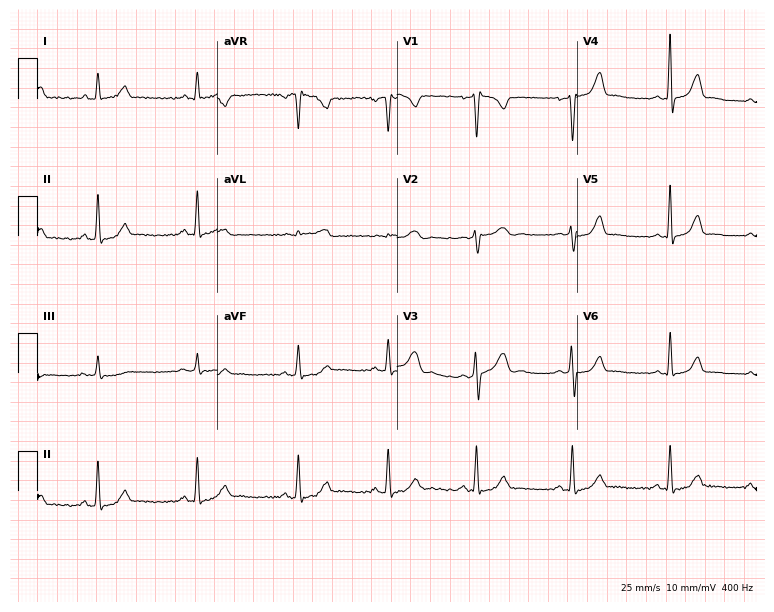
Resting 12-lead electrocardiogram (7.3-second recording at 400 Hz). Patient: a 26-year-old female. None of these six findings is recorded: first-degree AV block, right bundle branch block, left bundle branch block, sinus bradycardia, atrial fibrillation, sinus tachycardia. Other findings, if any, are not listed.